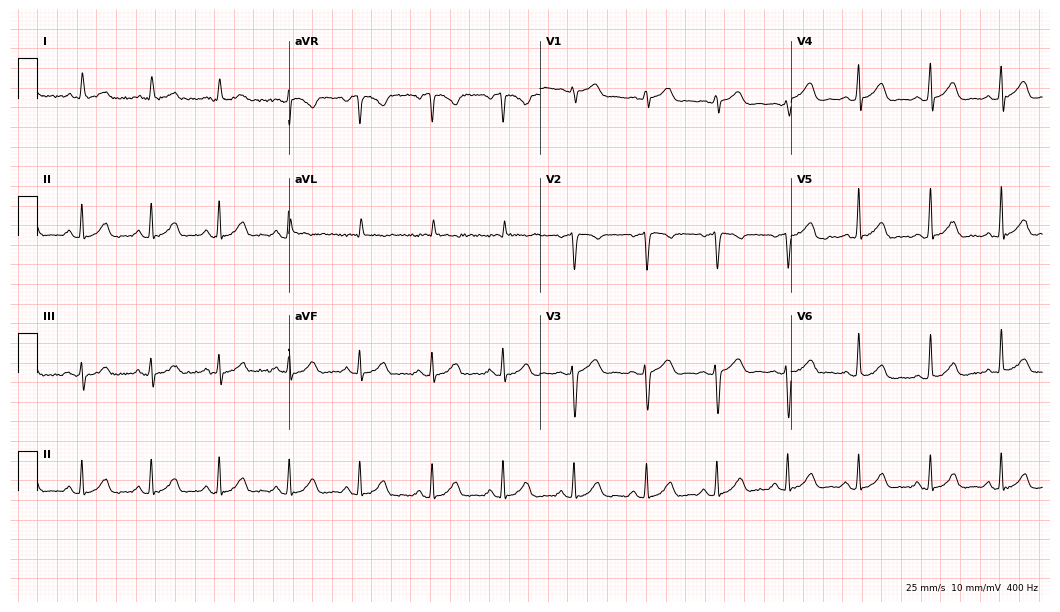
12-lead ECG from a man, 65 years old. Labelled as a normal ECG.